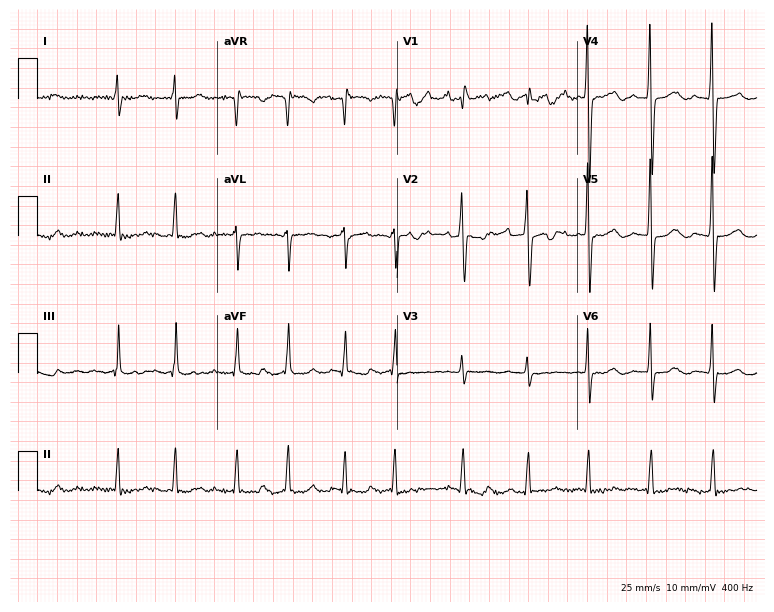
ECG — a woman, 59 years old. Findings include atrial fibrillation.